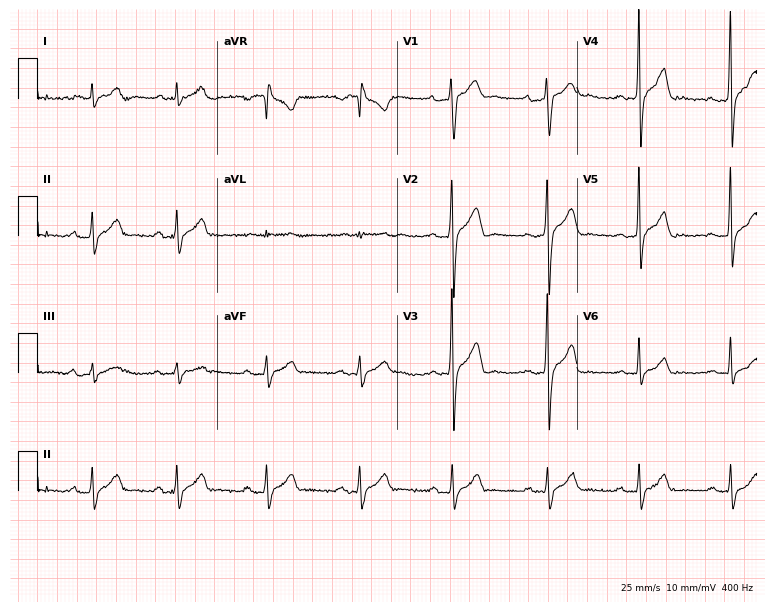
Standard 12-lead ECG recorded from a male, 32 years old (7.3-second recording at 400 Hz). None of these six findings is recorded: first-degree AV block, right bundle branch block, left bundle branch block, sinus bradycardia, atrial fibrillation, sinus tachycardia. Findings outside these six are not listed.